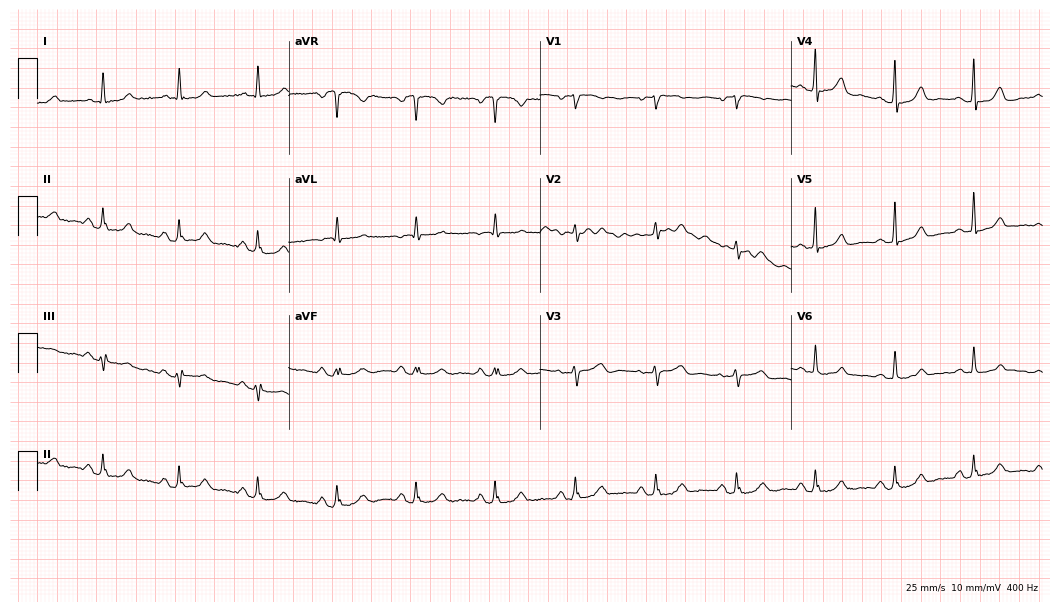
12-lead ECG from a female patient, 82 years old. Recorded interpretation: within normal limits.